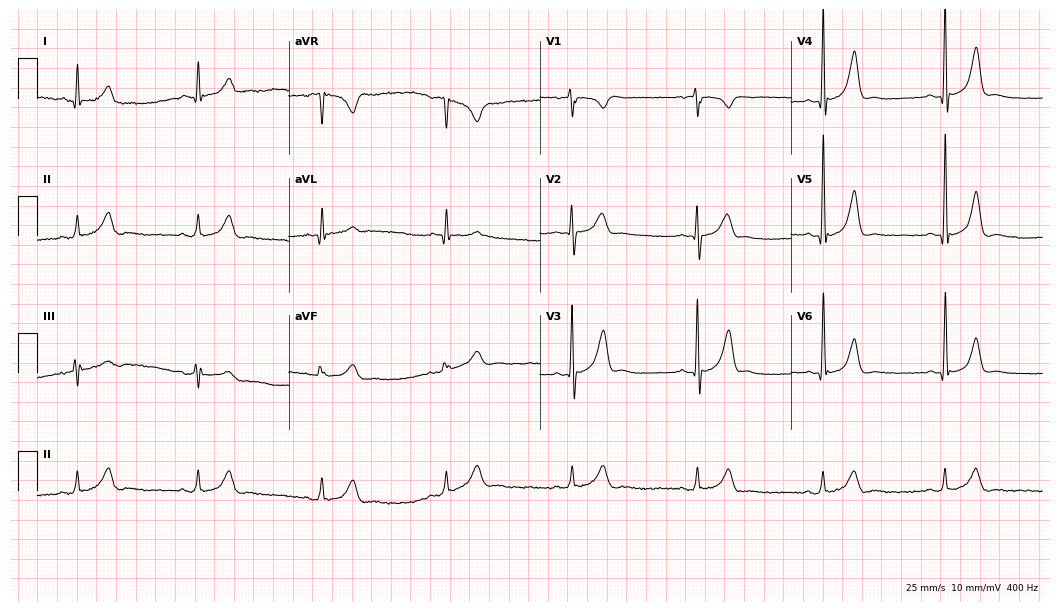
Electrocardiogram, a male, 58 years old. Interpretation includes sinus bradycardia (a sinus rate of 50 beats per minute or less).